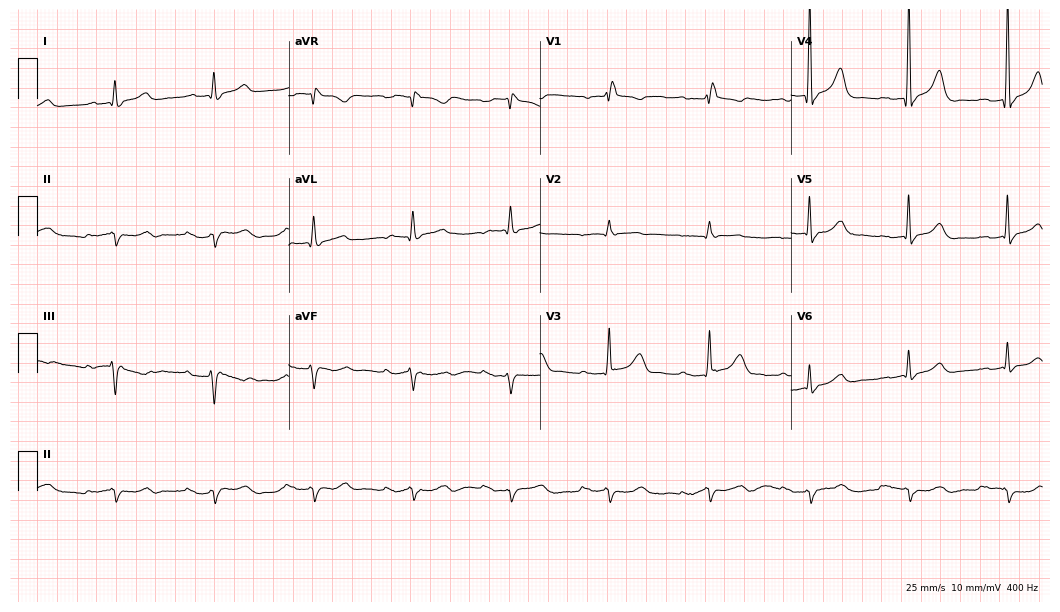
12-lead ECG from a 77-year-old male patient. Screened for six findings — first-degree AV block, right bundle branch block (RBBB), left bundle branch block (LBBB), sinus bradycardia, atrial fibrillation (AF), sinus tachycardia — none is recorded. Only these six findings were labelled.